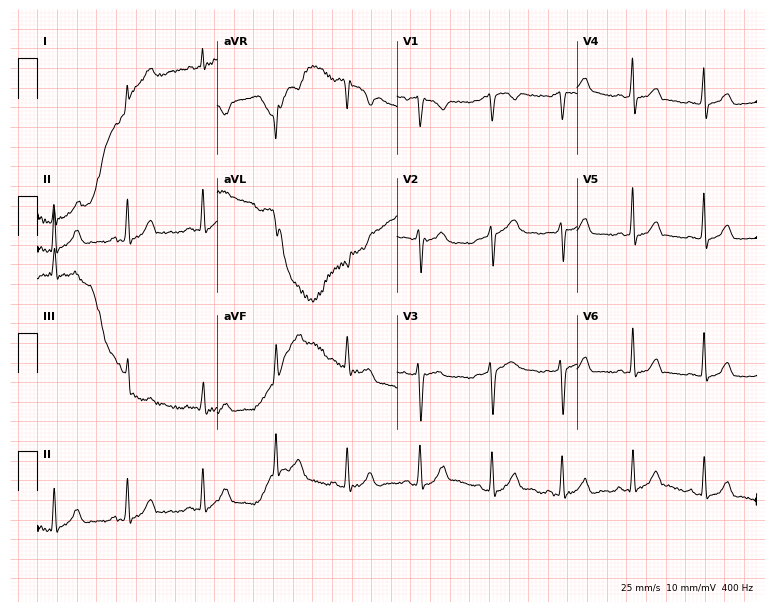
Resting 12-lead electrocardiogram (7.3-second recording at 400 Hz). Patient: a 29-year-old female. None of these six findings is recorded: first-degree AV block, right bundle branch block, left bundle branch block, sinus bradycardia, atrial fibrillation, sinus tachycardia.